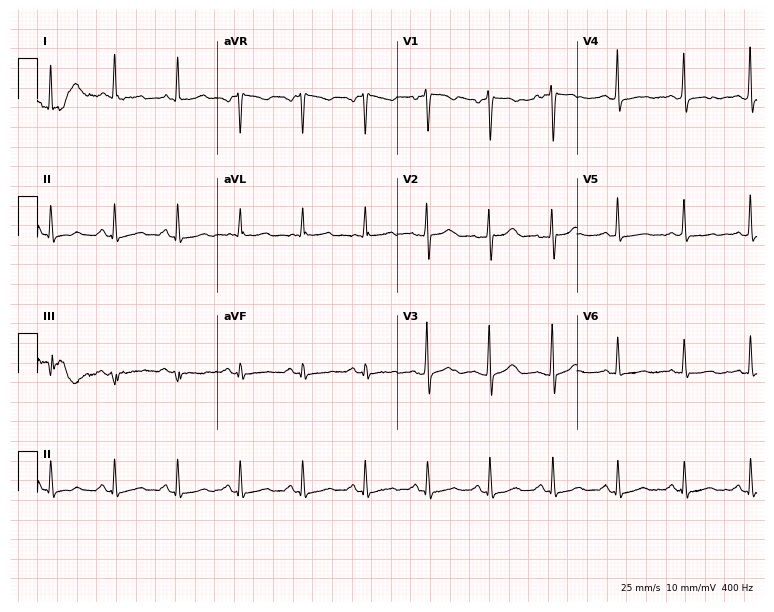
ECG (7.3-second recording at 400 Hz) — a female, 46 years old. Screened for six findings — first-degree AV block, right bundle branch block, left bundle branch block, sinus bradycardia, atrial fibrillation, sinus tachycardia — none is recorded.